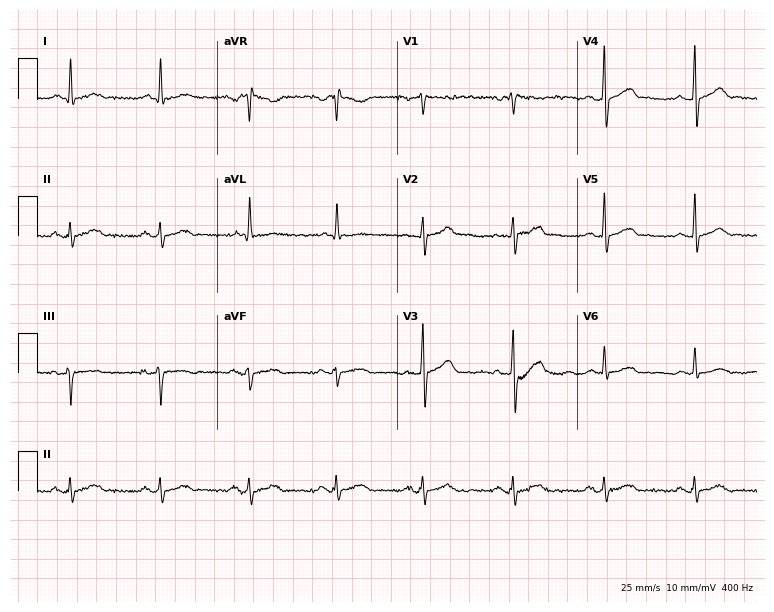
Standard 12-lead ECG recorded from a male, 50 years old. None of these six findings is recorded: first-degree AV block, right bundle branch block (RBBB), left bundle branch block (LBBB), sinus bradycardia, atrial fibrillation (AF), sinus tachycardia. Other findings, if any, are not listed.